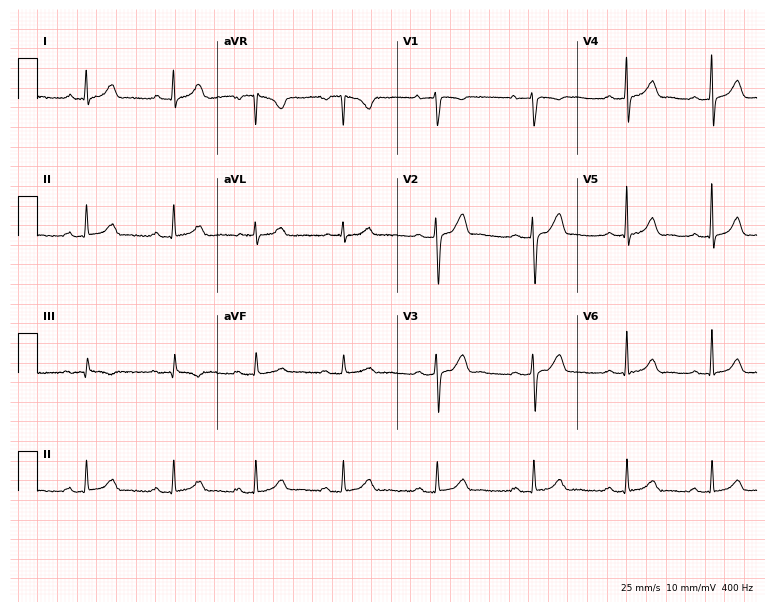
Electrocardiogram, a 43-year-old female. Of the six screened findings (first-degree AV block, right bundle branch block (RBBB), left bundle branch block (LBBB), sinus bradycardia, atrial fibrillation (AF), sinus tachycardia), none is recorded.